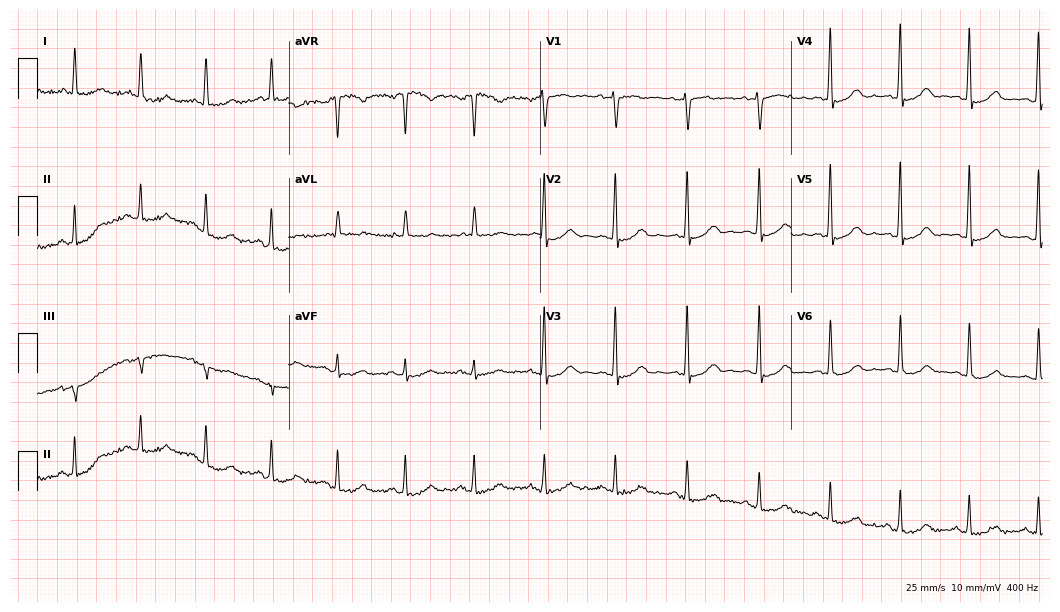
Resting 12-lead electrocardiogram (10.2-second recording at 400 Hz). Patient: a woman, 66 years old. None of these six findings is recorded: first-degree AV block, right bundle branch block, left bundle branch block, sinus bradycardia, atrial fibrillation, sinus tachycardia. Findings outside these six are not listed.